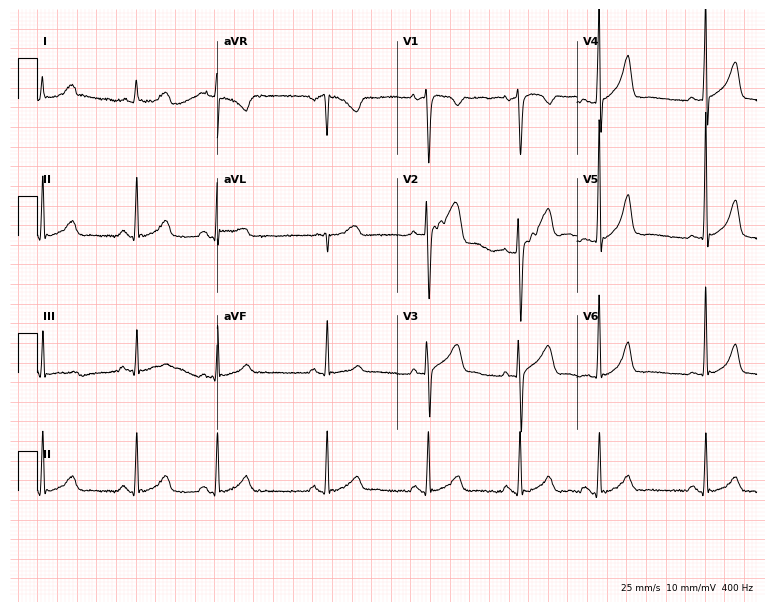
Standard 12-lead ECG recorded from a 64-year-old male (7.3-second recording at 400 Hz). None of these six findings is recorded: first-degree AV block, right bundle branch block (RBBB), left bundle branch block (LBBB), sinus bradycardia, atrial fibrillation (AF), sinus tachycardia. Only these six findings were labelled.